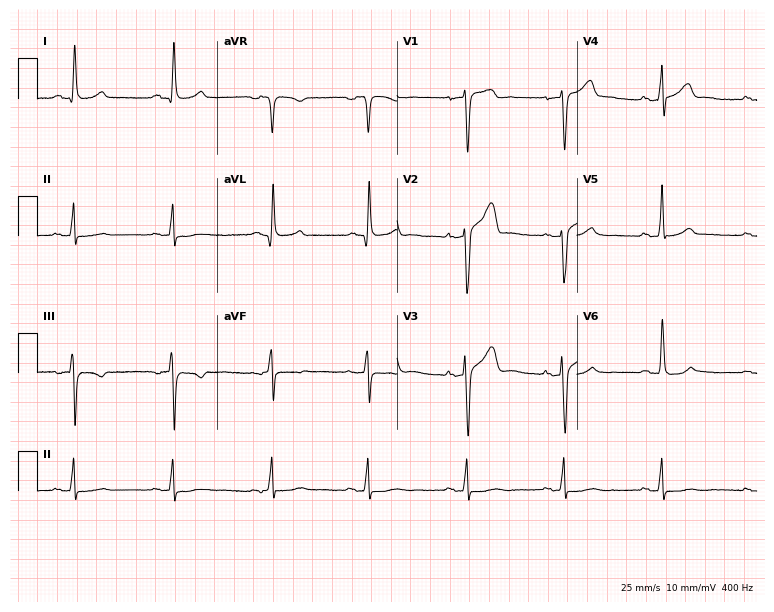
12-lead ECG (7.3-second recording at 400 Hz) from a 56-year-old male. Screened for six findings — first-degree AV block, right bundle branch block, left bundle branch block, sinus bradycardia, atrial fibrillation, sinus tachycardia — none is recorded.